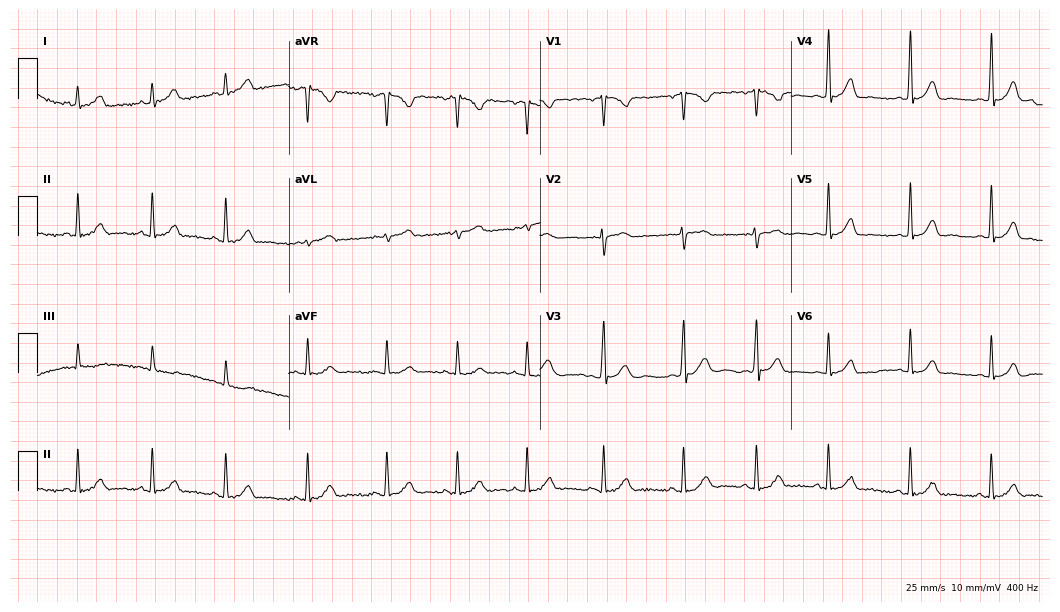
Electrocardiogram (10.2-second recording at 400 Hz), a woman, 19 years old. Of the six screened findings (first-degree AV block, right bundle branch block, left bundle branch block, sinus bradycardia, atrial fibrillation, sinus tachycardia), none is recorded. Findings outside these six are not listed.